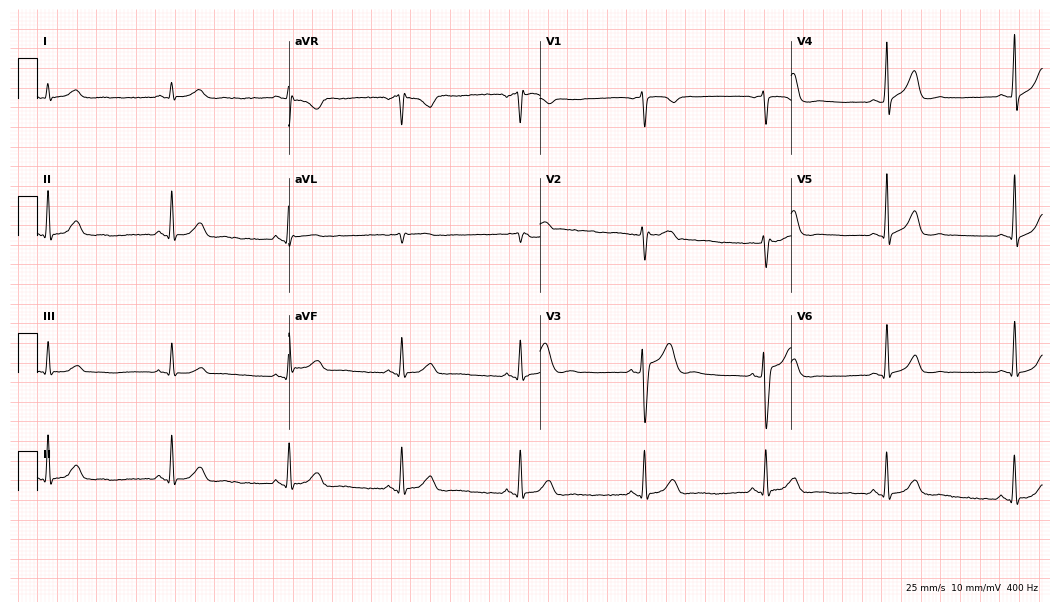
ECG — a male patient, 42 years old. Labelled as a normal ECG.